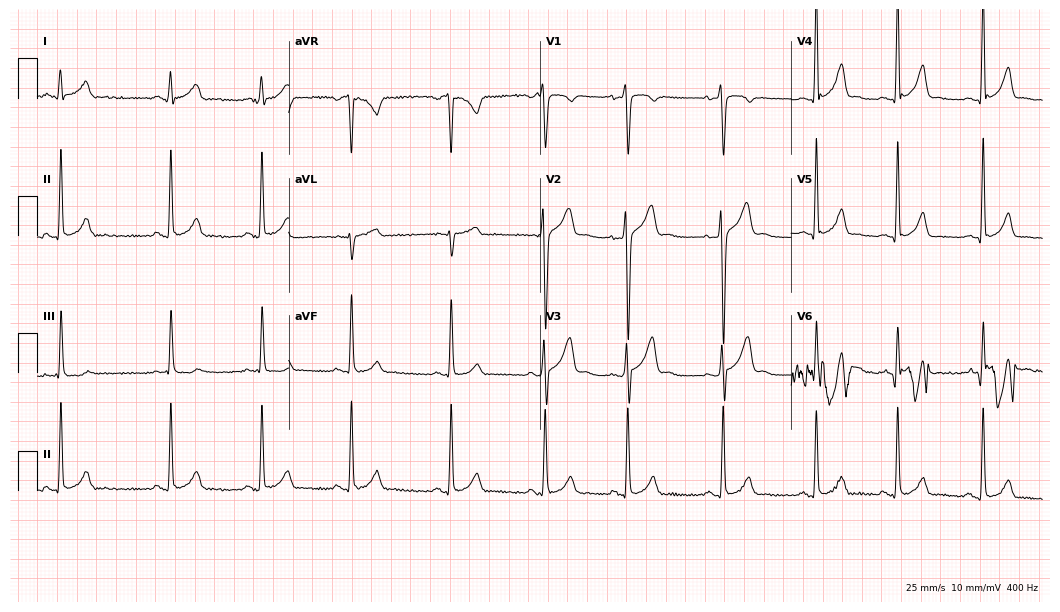
12-lead ECG from a male, 18 years old (10.2-second recording at 400 Hz). No first-degree AV block, right bundle branch block, left bundle branch block, sinus bradycardia, atrial fibrillation or sinus tachycardia recorded for this tracing.